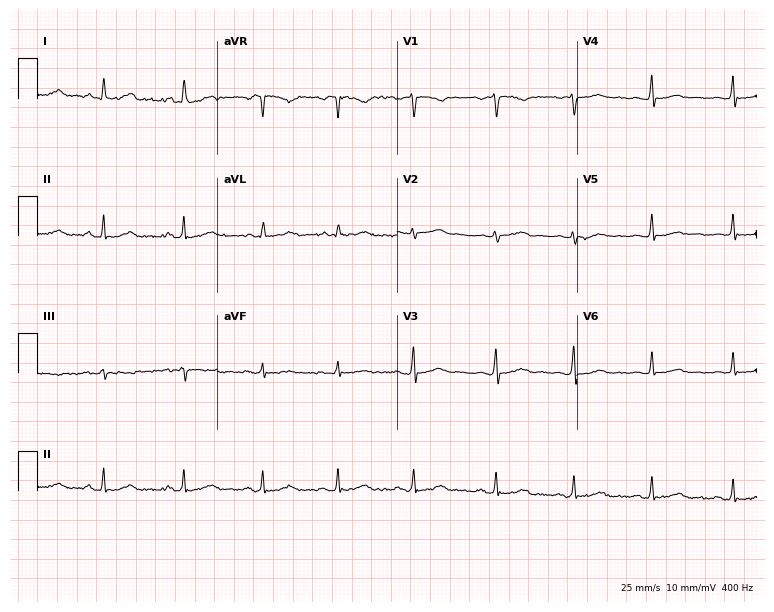
12-lead ECG from a woman, 58 years old. Screened for six findings — first-degree AV block, right bundle branch block, left bundle branch block, sinus bradycardia, atrial fibrillation, sinus tachycardia — none is recorded. Findings outside these six are not listed.